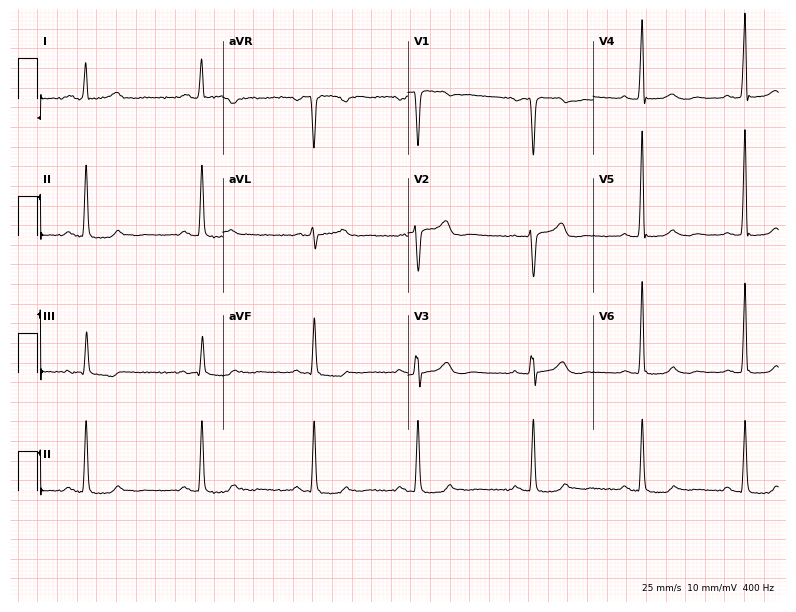
ECG — a 64-year-old woman. Screened for six findings — first-degree AV block, right bundle branch block (RBBB), left bundle branch block (LBBB), sinus bradycardia, atrial fibrillation (AF), sinus tachycardia — none is recorded. Findings outside these six are not listed.